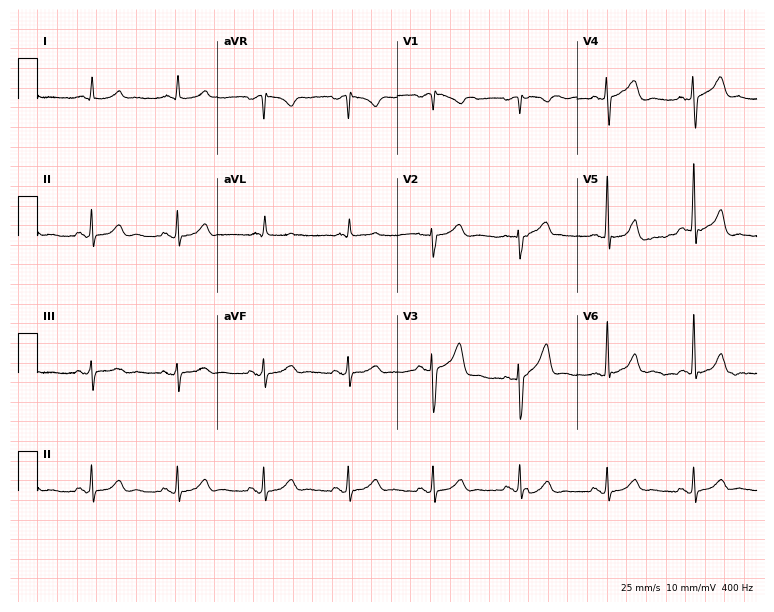
Standard 12-lead ECG recorded from a man, 60 years old (7.3-second recording at 400 Hz). Read as a normal ECG.